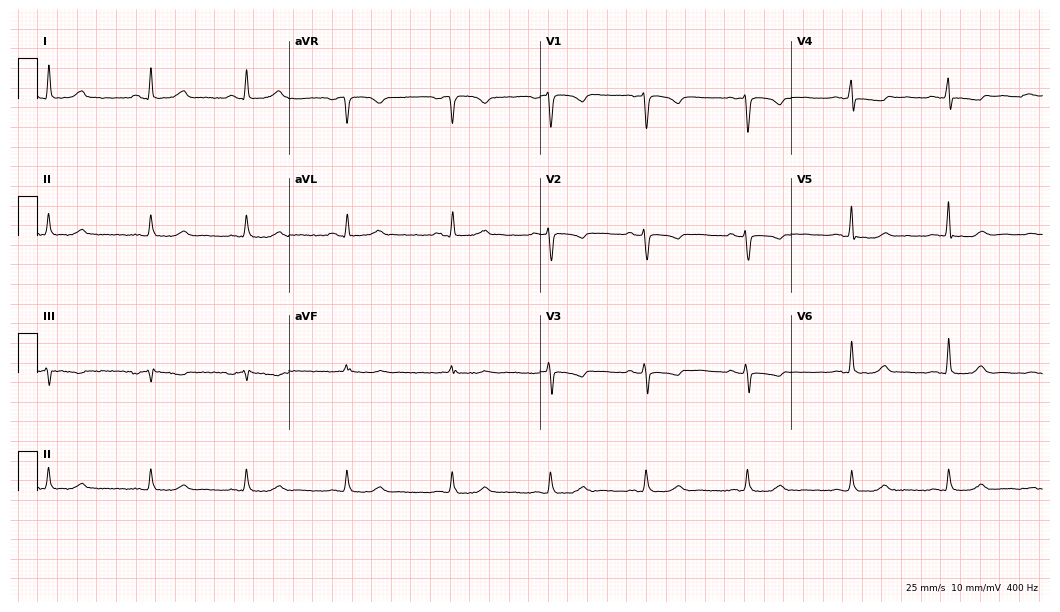
Standard 12-lead ECG recorded from a woman, 54 years old. None of these six findings is recorded: first-degree AV block, right bundle branch block (RBBB), left bundle branch block (LBBB), sinus bradycardia, atrial fibrillation (AF), sinus tachycardia.